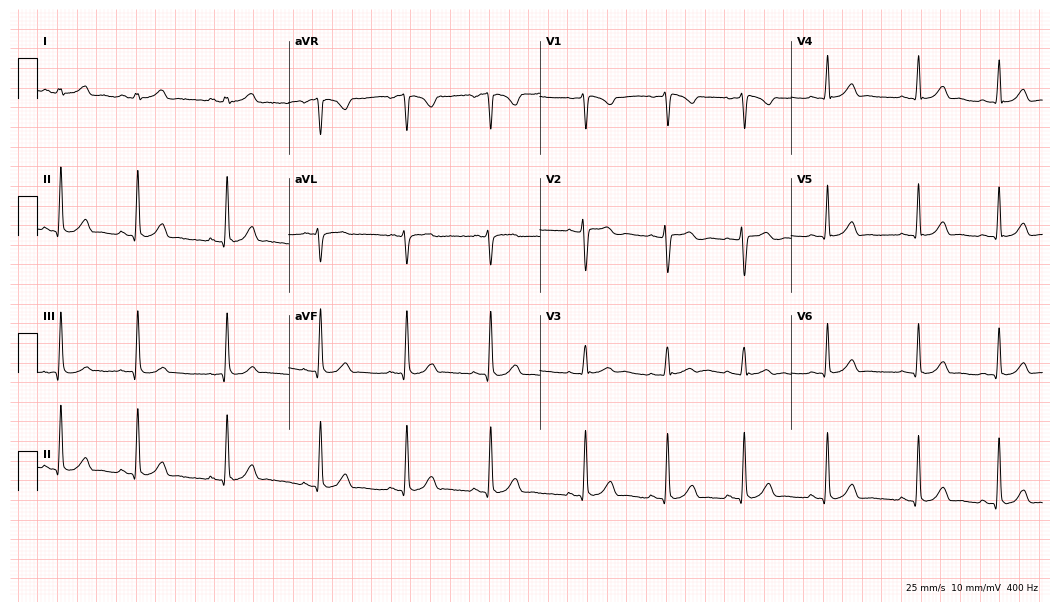
12-lead ECG from a 17-year-old woman. Recorded interpretation: within normal limits.